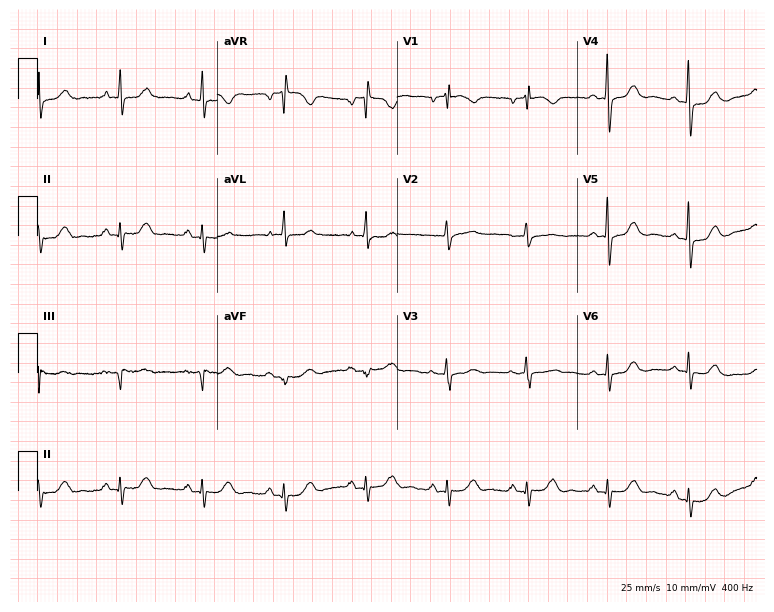
Standard 12-lead ECG recorded from a female, 79 years old (7.3-second recording at 400 Hz). None of these six findings is recorded: first-degree AV block, right bundle branch block (RBBB), left bundle branch block (LBBB), sinus bradycardia, atrial fibrillation (AF), sinus tachycardia.